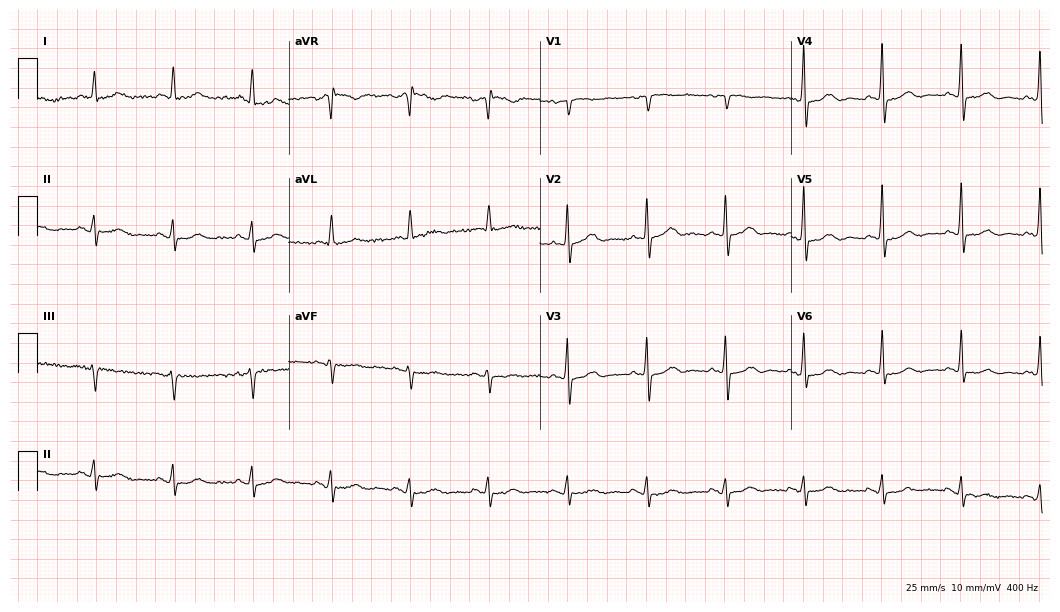
ECG — a woman, 62 years old. Screened for six findings — first-degree AV block, right bundle branch block, left bundle branch block, sinus bradycardia, atrial fibrillation, sinus tachycardia — none is recorded.